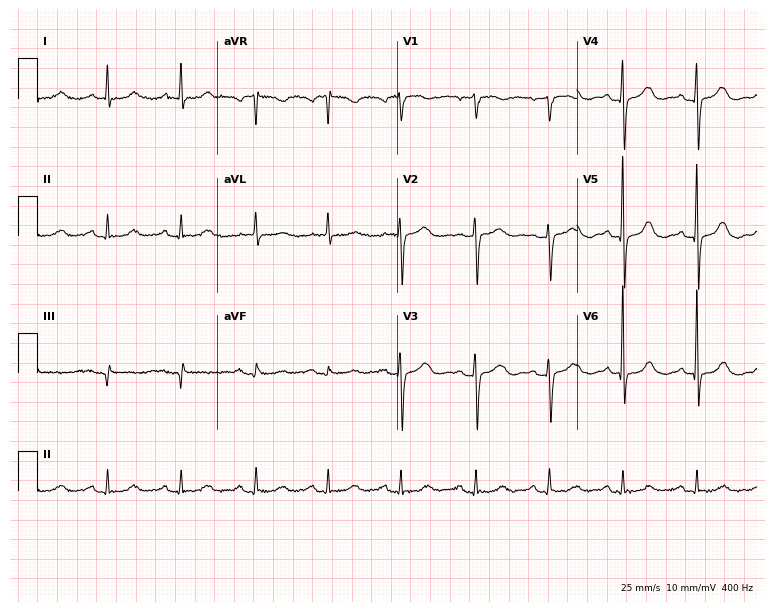
12-lead ECG from an 85-year-old female patient (7.3-second recording at 400 Hz). Recorded interpretation: within normal limits.